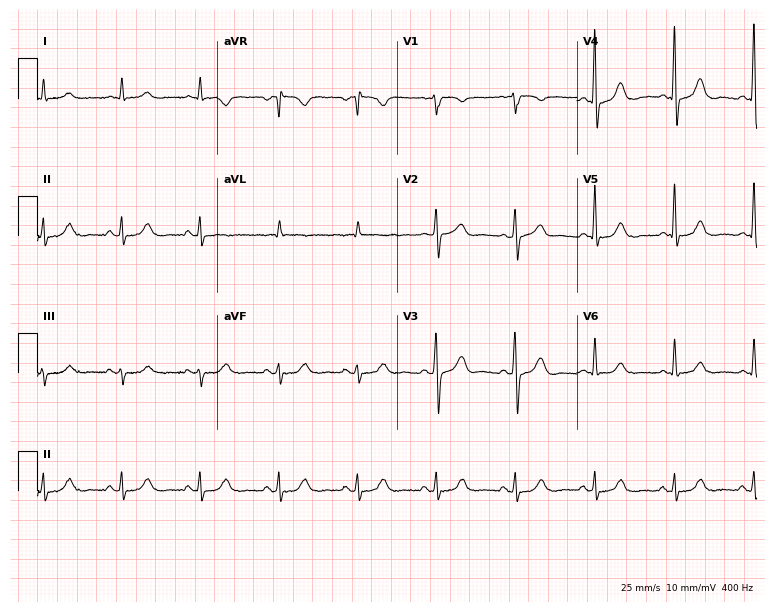
12-lead ECG from a 69-year-old male patient. No first-degree AV block, right bundle branch block, left bundle branch block, sinus bradycardia, atrial fibrillation or sinus tachycardia recorded for this tracing.